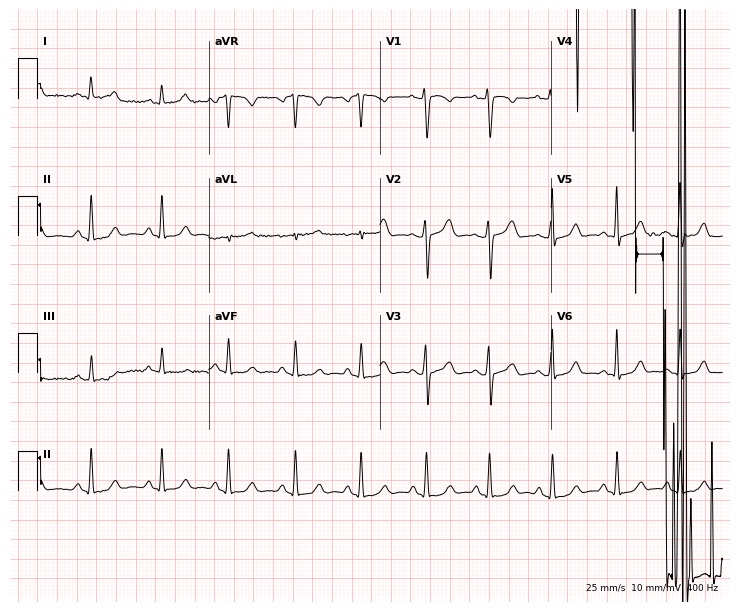
12-lead ECG from a woman, 21 years old (7-second recording at 400 Hz). No first-degree AV block, right bundle branch block, left bundle branch block, sinus bradycardia, atrial fibrillation or sinus tachycardia recorded for this tracing. Only these six findings were labelled.